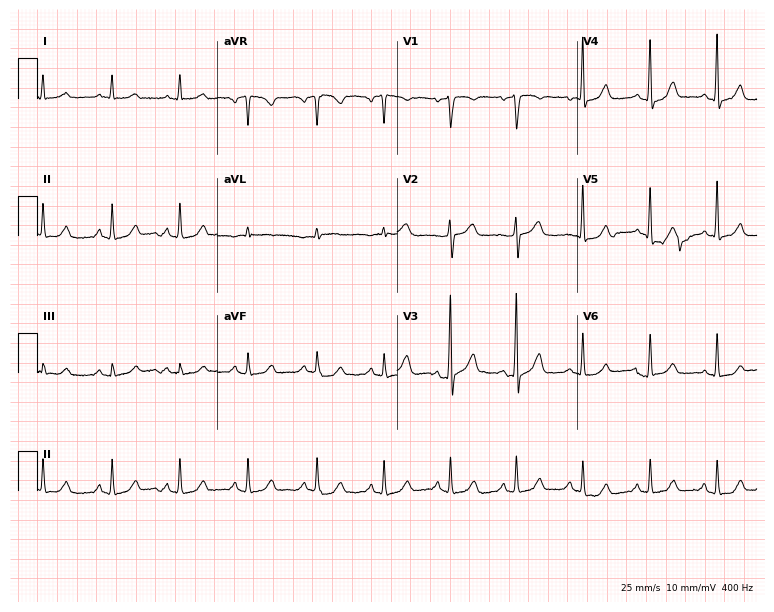
12-lead ECG from a woman, 58 years old. Labelled as a normal ECG.